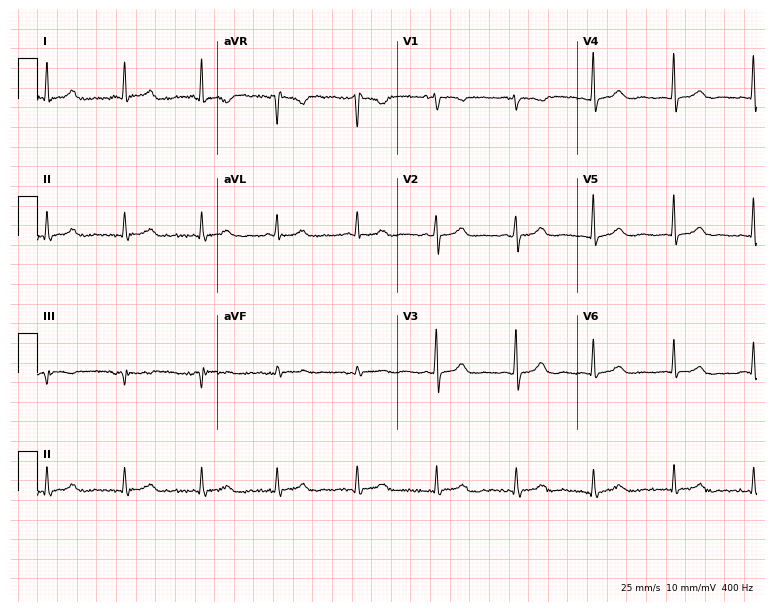
Standard 12-lead ECG recorded from a 63-year-old female patient (7.3-second recording at 400 Hz). None of these six findings is recorded: first-degree AV block, right bundle branch block, left bundle branch block, sinus bradycardia, atrial fibrillation, sinus tachycardia.